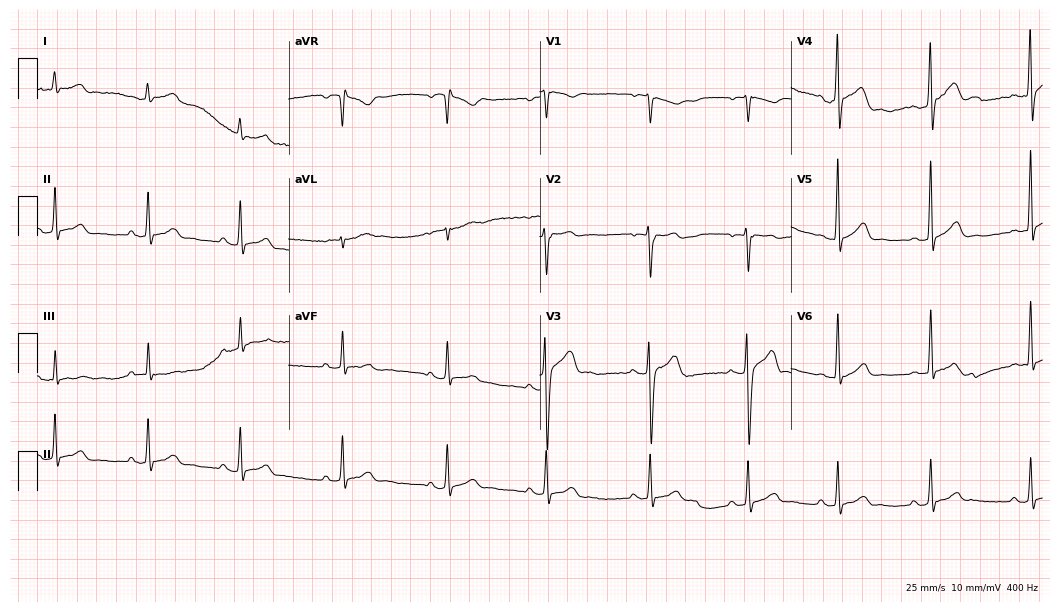
12-lead ECG from a 22-year-old man (10.2-second recording at 400 Hz). No first-degree AV block, right bundle branch block, left bundle branch block, sinus bradycardia, atrial fibrillation or sinus tachycardia recorded for this tracing.